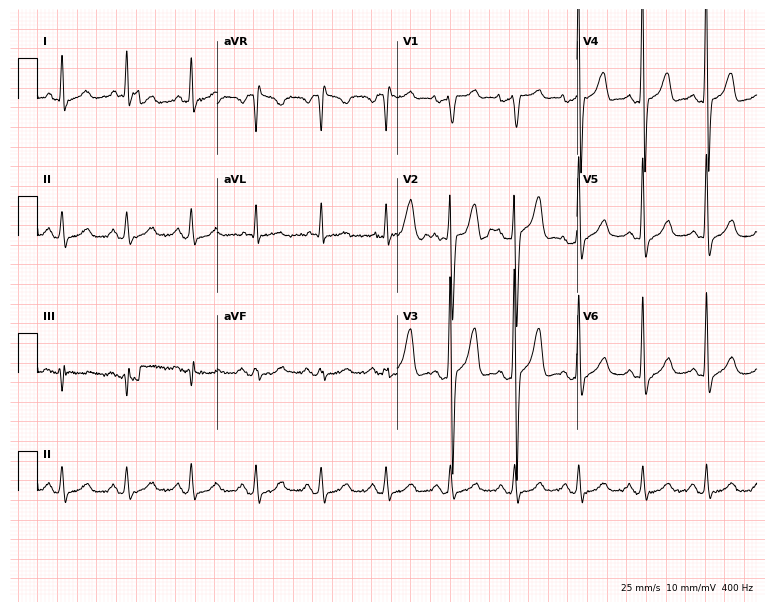
Electrocardiogram, a 69-year-old male. Of the six screened findings (first-degree AV block, right bundle branch block, left bundle branch block, sinus bradycardia, atrial fibrillation, sinus tachycardia), none is recorded. Findings outside these six are not listed.